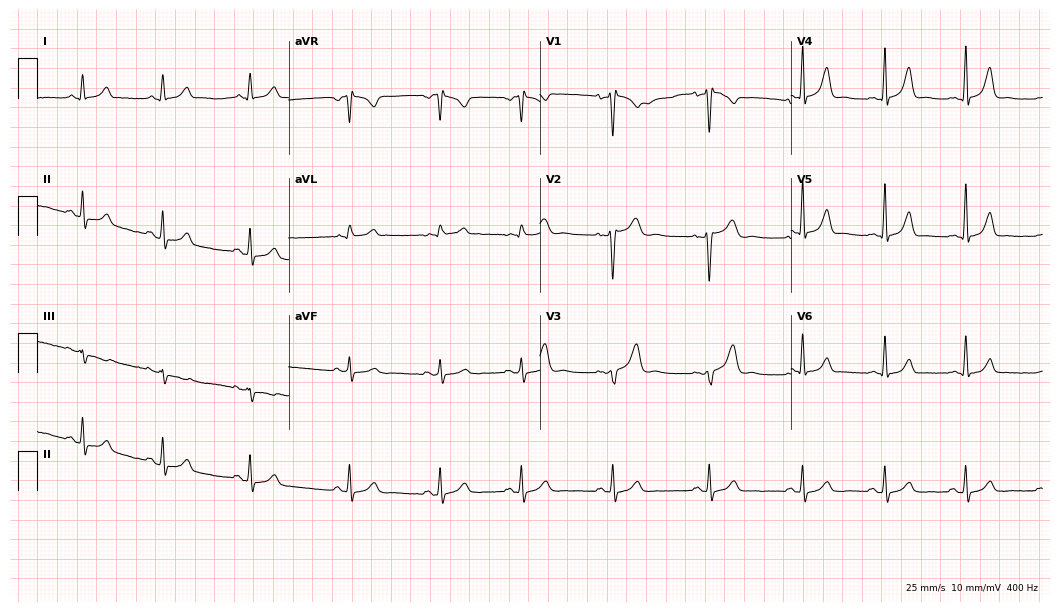
Standard 12-lead ECG recorded from a 33-year-old female patient (10.2-second recording at 400 Hz). None of these six findings is recorded: first-degree AV block, right bundle branch block, left bundle branch block, sinus bradycardia, atrial fibrillation, sinus tachycardia.